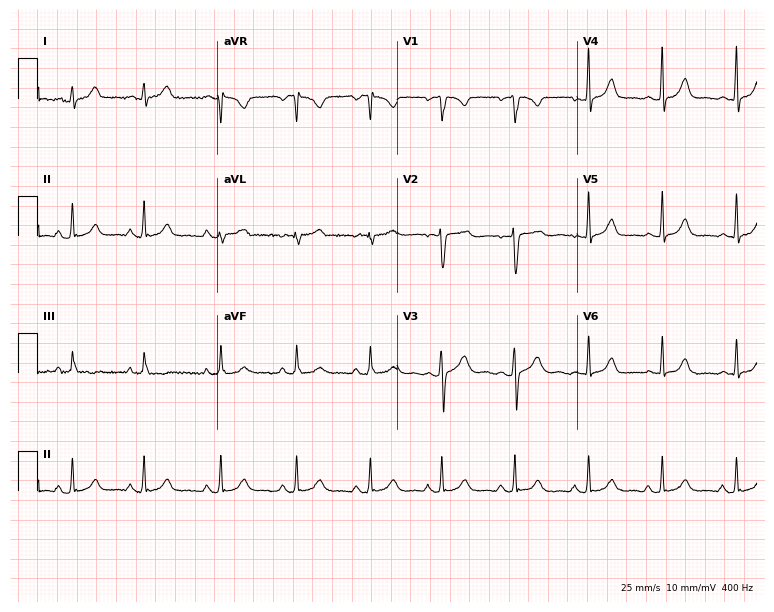
ECG — a female, 25 years old. Screened for six findings — first-degree AV block, right bundle branch block (RBBB), left bundle branch block (LBBB), sinus bradycardia, atrial fibrillation (AF), sinus tachycardia — none is recorded.